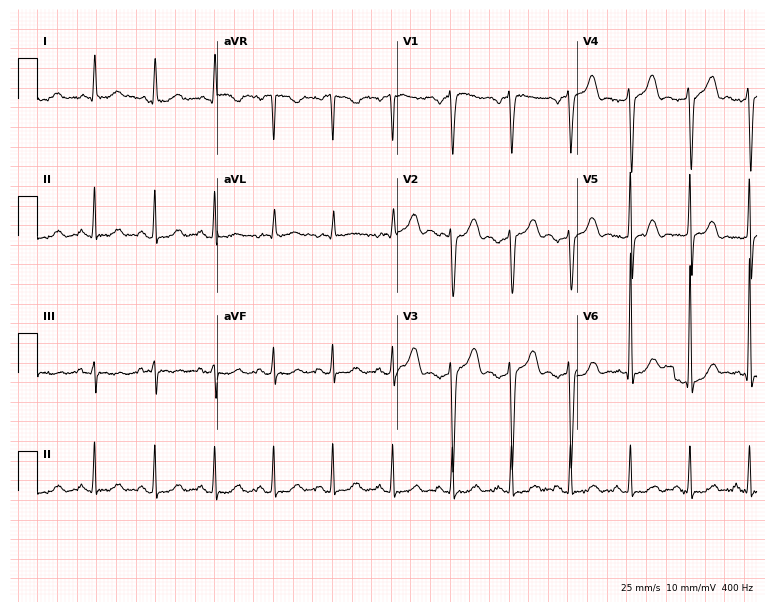
ECG (7.3-second recording at 400 Hz) — a male, 64 years old. Screened for six findings — first-degree AV block, right bundle branch block (RBBB), left bundle branch block (LBBB), sinus bradycardia, atrial fibrillation (AF), sinus tachycardia — none is recorded.